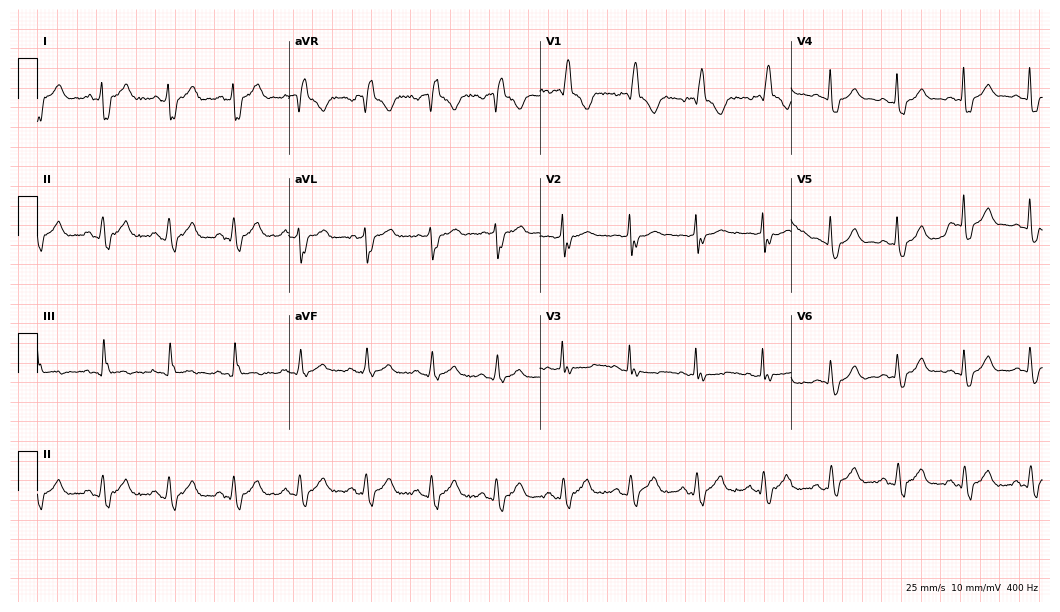
12-lead ECG from a female, 59 years old (10.2-second recording at 400 Hz). Shows right bundle branch block (RBBB).